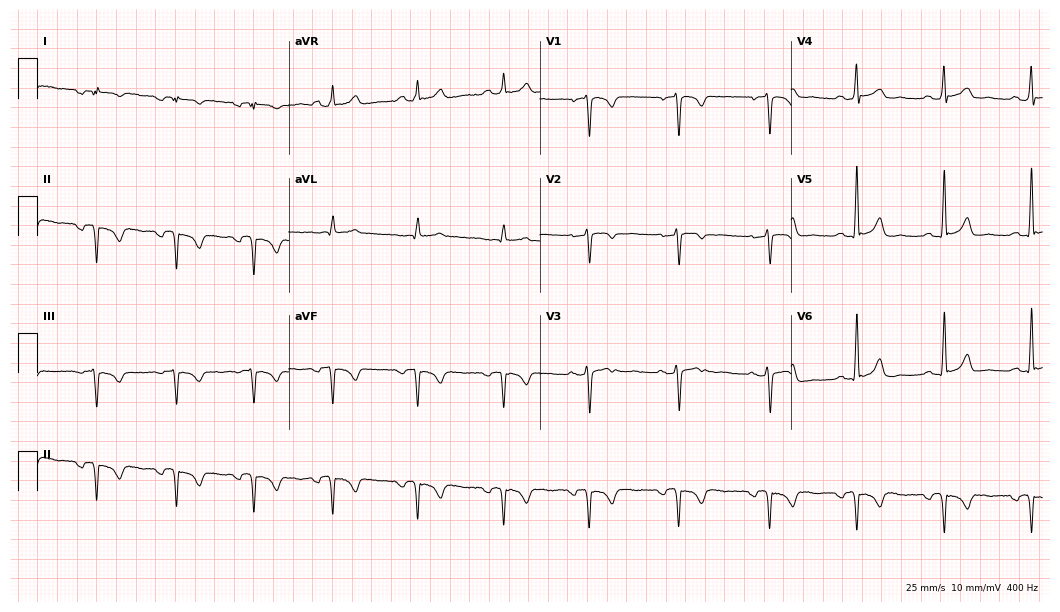
Resting 12-lead electrocardiogram (10.2-second recording at 400 Hz). Patient: a woman, 33 years old. None of these six findings is recorded: first-degree AV block, right bundle branch block (RBBB), left bundle branch block (LBBB), sinus bradycardia, atrial fibrillation (AF), sinus tachycardia. Only these six findings were labelled.